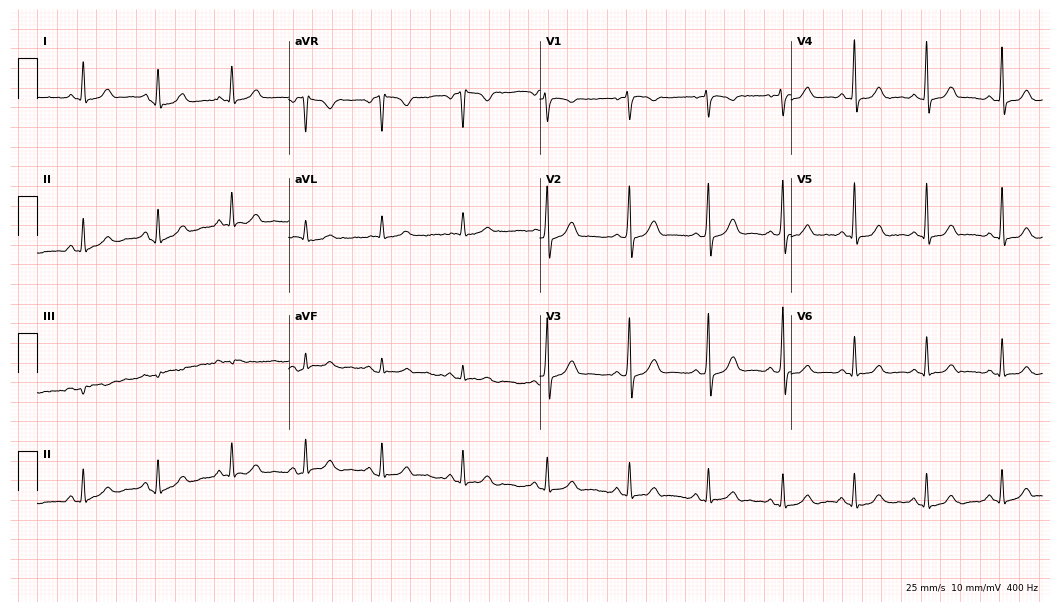
Resting 12-lead electrocardiogram. Patient: a 45-year-old female. Read as a normal ECG.